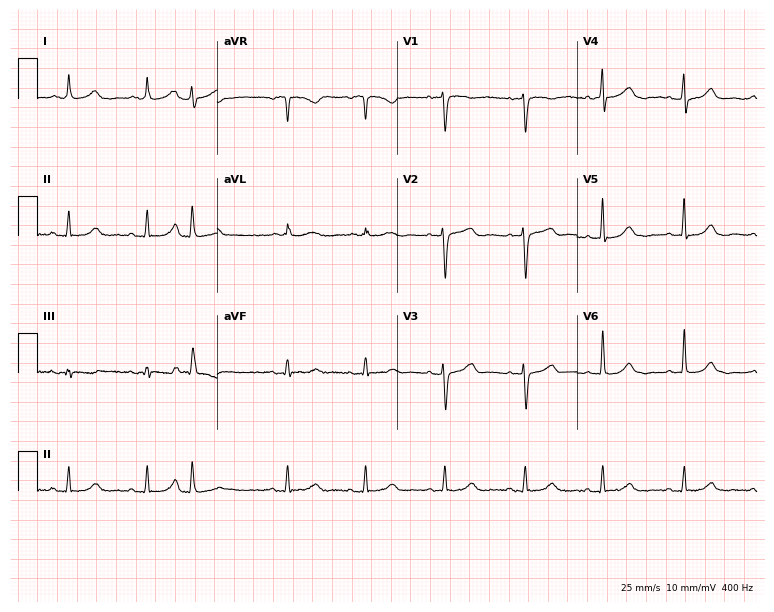
ECG (7.3-second recording at 400 Hz) — a woman, 72 years old. Screened for six findings — first-degree AV block, right bundle branch block, left bundle branch block, sinus bradycardia, atrial fibrillation, sinus tachycardia — none is recorded.